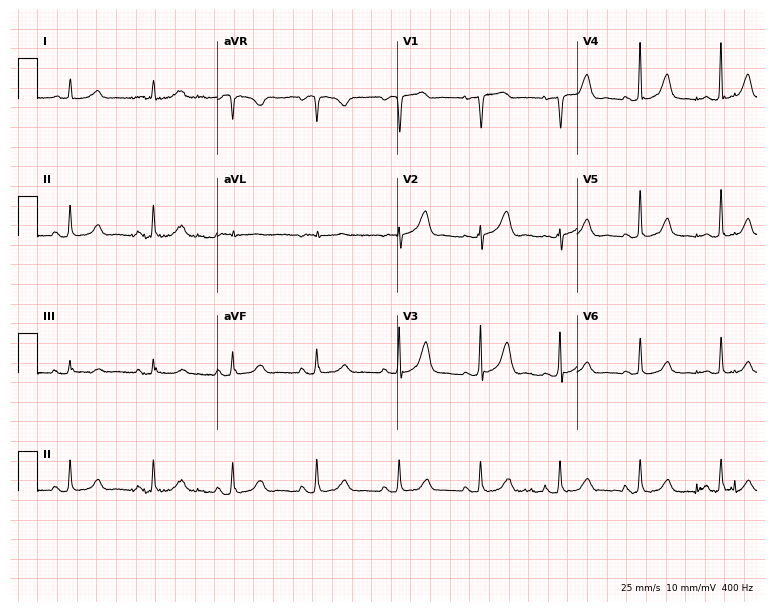
Electrocardiogram (7.3-second recording at 400 Hz), a 78-year-old female. Of the six screened findings (first-degree AV block, right bundle branch block (RBBB), left bundle branch block (LBBB), sinus bradycardia, atrial fibrillation (AF), sinus tachycardia), none is recorded.